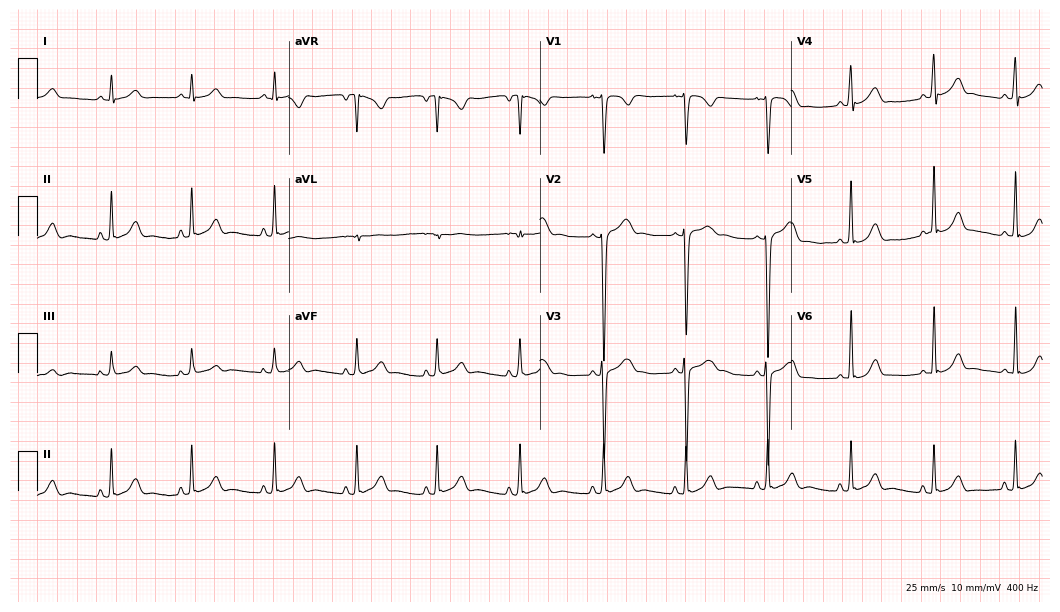
12-lead ECG from a 17-year-old man (10.2-second recording at 400 Hz). No first-degree AV block, right bundle branch block, left bundle branch block, sinus bradycardia, atrial fibrillation or sinus tachycardia recorded for this tracing. Other findings, if any, are not listed.